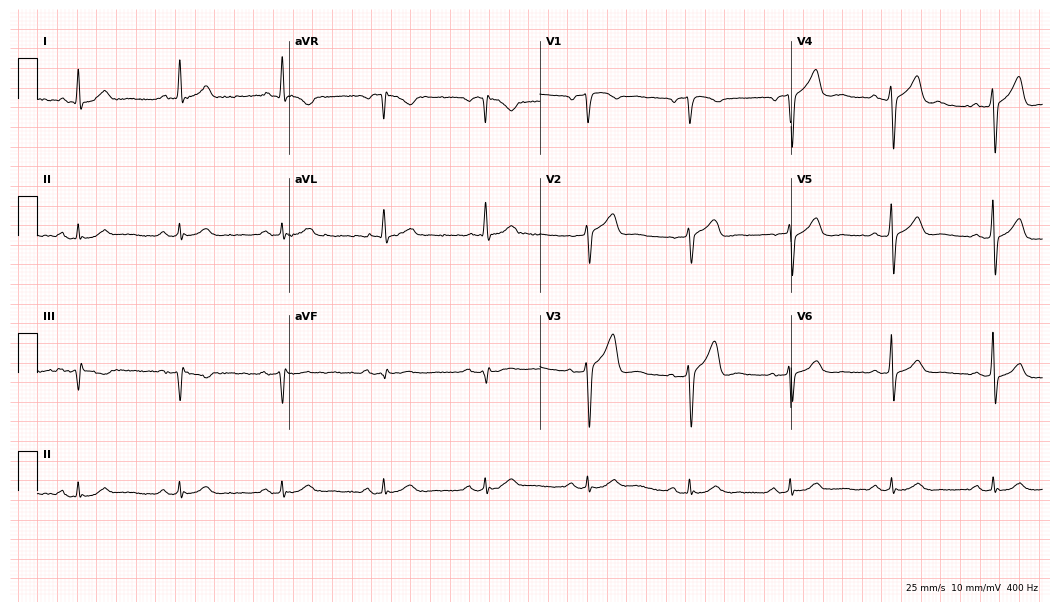
Electrocardiogram (10.2-second recording at 400 Hz), a male, 66 years old. Of the six screened findings (first-degree AV block, right bundle branch block, left bundle branch block, sinus bradycardia, atrial fibrillation, sinus tachycardia), none is recorded.